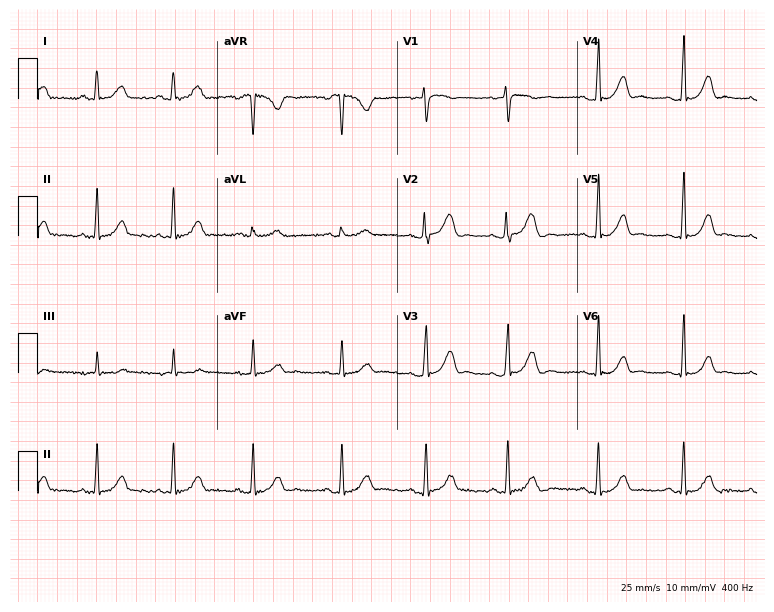
Standard 12-lead ECG recorded from a 27-year-old female patient. Read as a normal ECG.